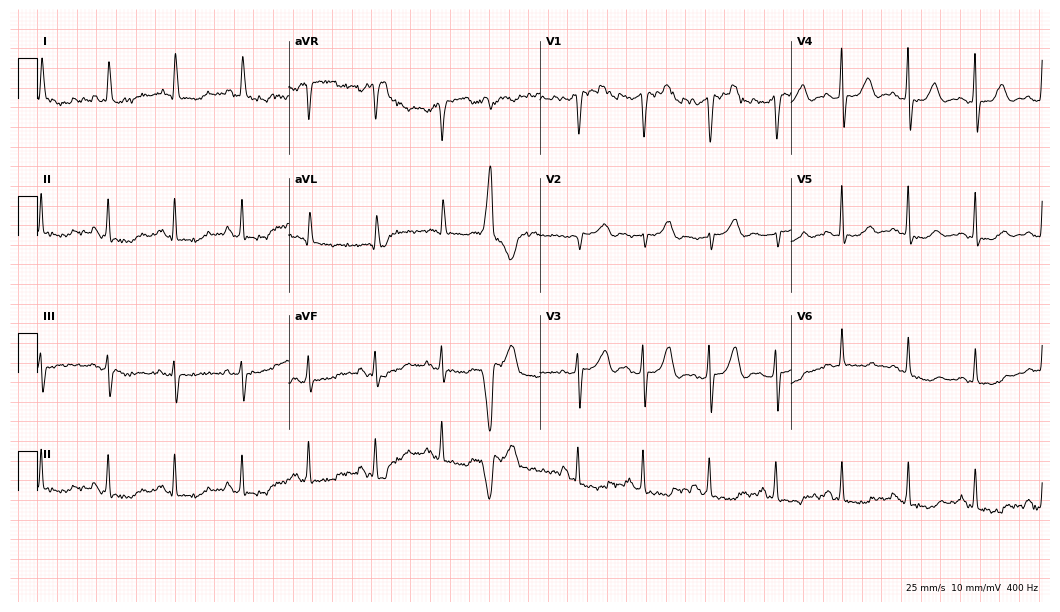
Resting 12-lead electrocardiogram. Patient: a female, 85 years old. None of these six findings is recorded: first-degree AV block, right bundle branch block, left bundle branch block, sinus bradycardia, atrial fibrillation, sinus tachycardia.